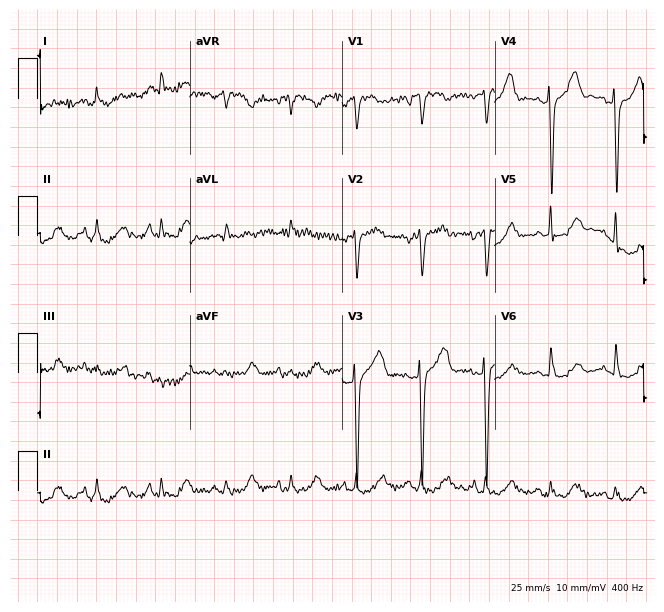
12-lead ECG from an 81-year-old female (6.2-second recording at 400 Hz). No first-degree AV block, right bundle branch block, left bundle branch block, sinus bradycardia, atrial fibrillation or sinus tachycardia recorded for this tracing. Other findings, if any, are not listed.